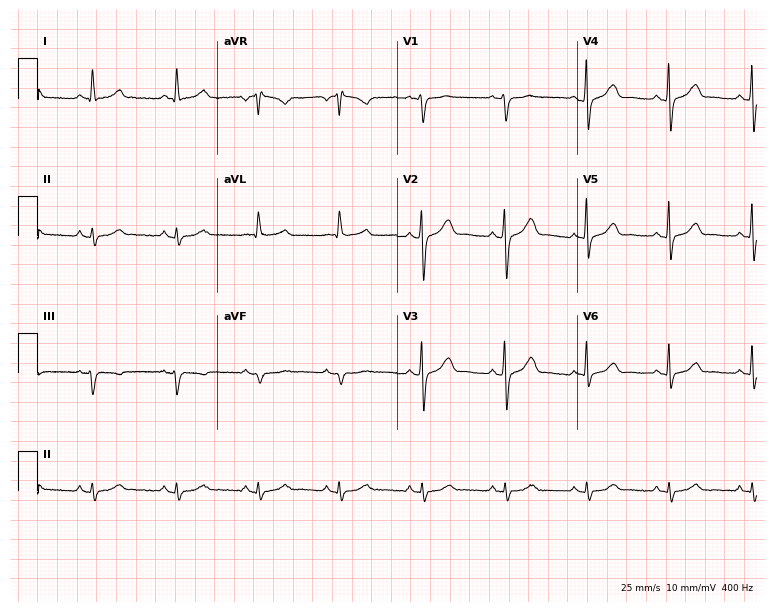
12-lead ECG from a male patient, 58 years old. Labelled as a normal ECG.